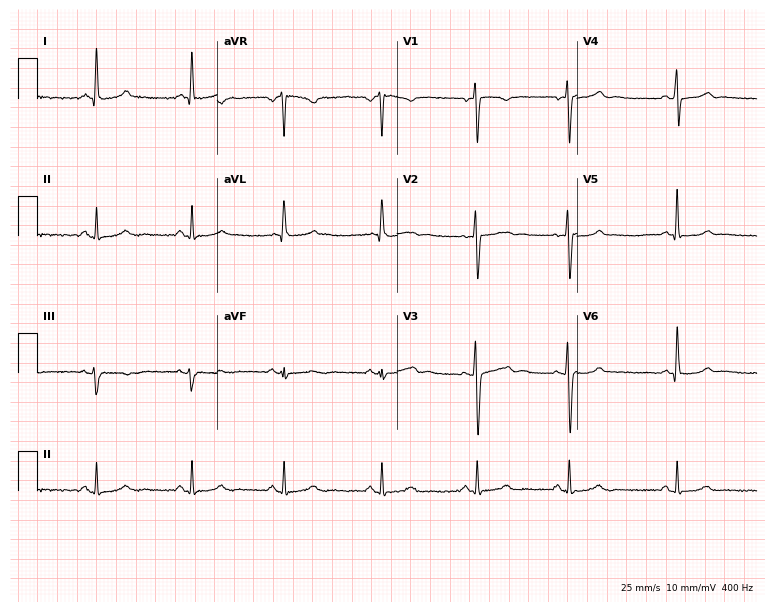
ECG (7.3-second recording at 400 Hz) — a female patient, 38 years old. Labelled as a normal ECG.